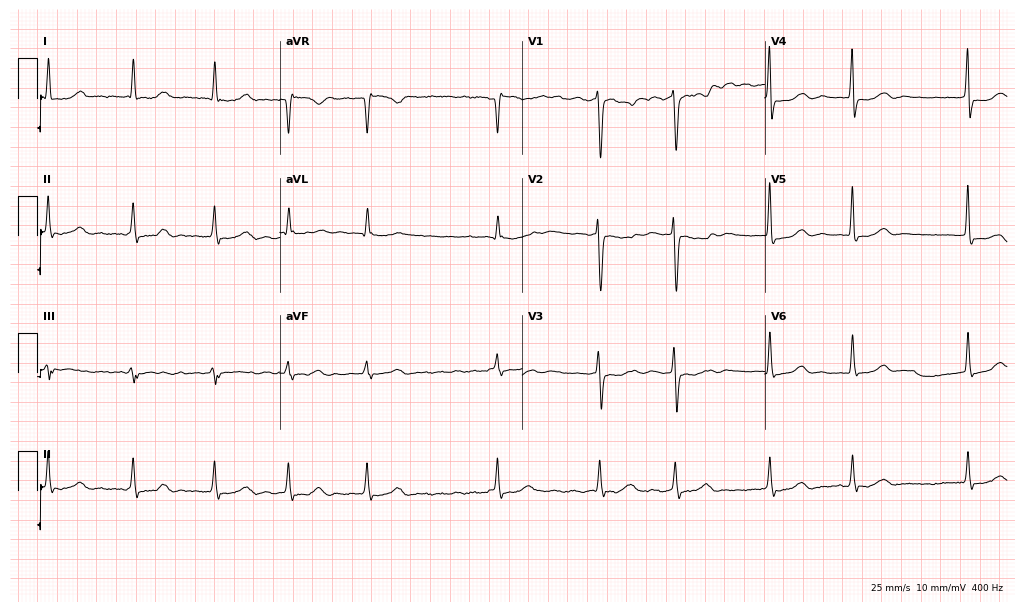
Standard 12-lead ECG recorded from a female, 72 years old (9.9-second recording at 400 Hz). The tracing shows atrial fibrillation.